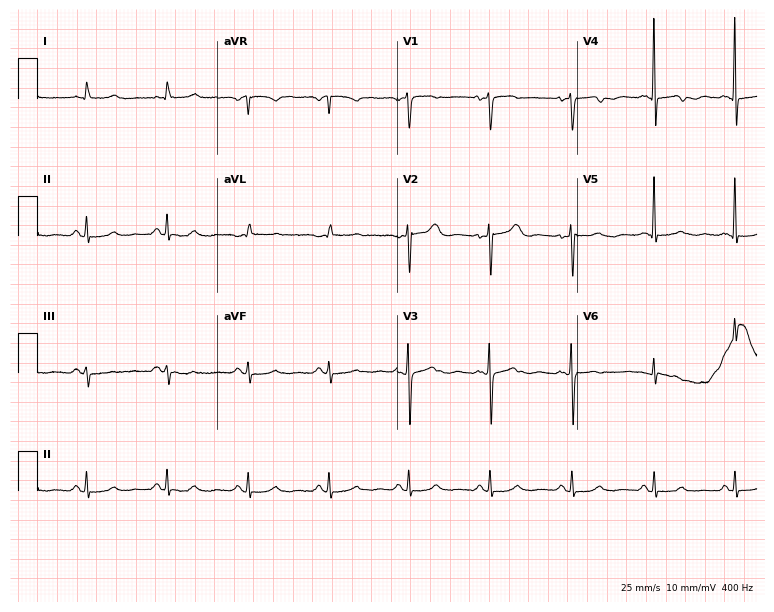
ECG — a 79-year-old female patient. Screened for six findings — first-degree AV block, right bundle branch block (RBBB), left bundle branch block (LBBB), sinus bradycardia, atrial fibrillation (AF), sinus tachycardia — none is recorded.